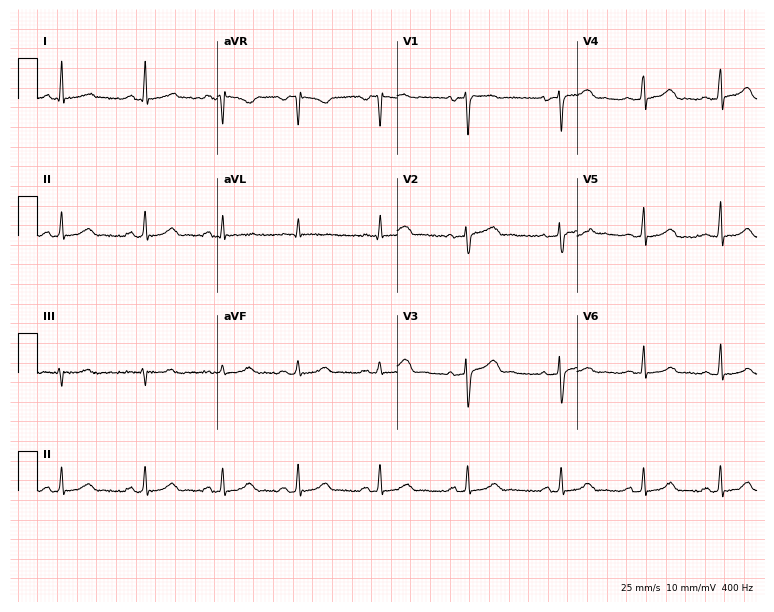
Standard 12-lead ECG recorded from a female, 35 years old. None of these six findings is recorded: first-degree AV block, right bundle branch block, left bundle branch block, sinus bradycardia, atrial fibrillation, sinus tachycardia. Findings outside these six are not listed.